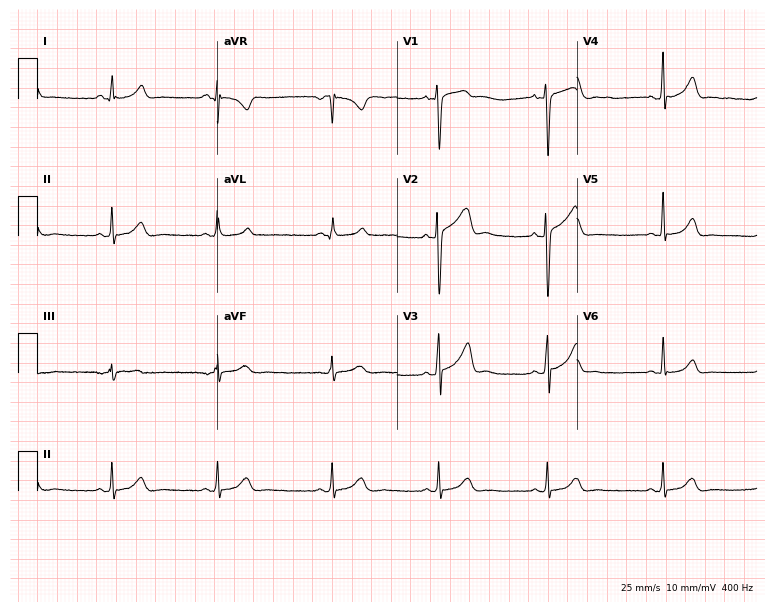
Resting 12-lead electrocardiogram. Patient: a 29-year-old male. Read as a normal ECG.